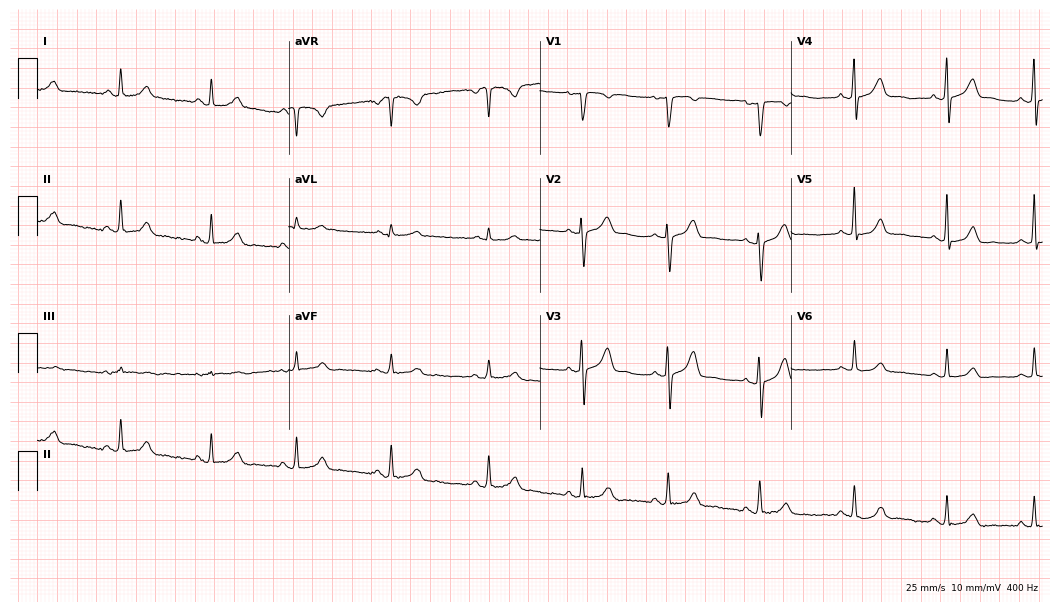
Resting 12-lead electrocardiogram. Patient: a 25-year-old female. None of these six findings is recorded: first-degree AV block, right bundle branch block, left bundle branch block, sinus bradycardia, atrial fibrillation, sinus tachycardia. Findings outside these six are not listed.